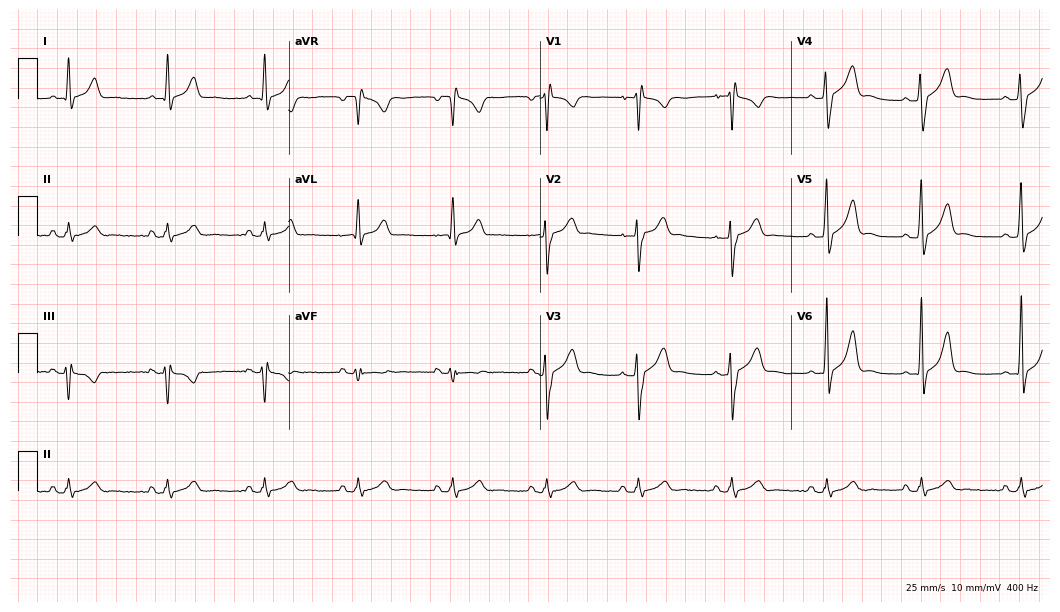
12-lead ECG from a 24-year-old male patient. Screened for six findings — first-degree AV block, right bundle branch block, left bundle branch block, sinus bradycardia, atrial fibrillation, sinus tachycardia — none is recorded. Findings outside these six are not listed.